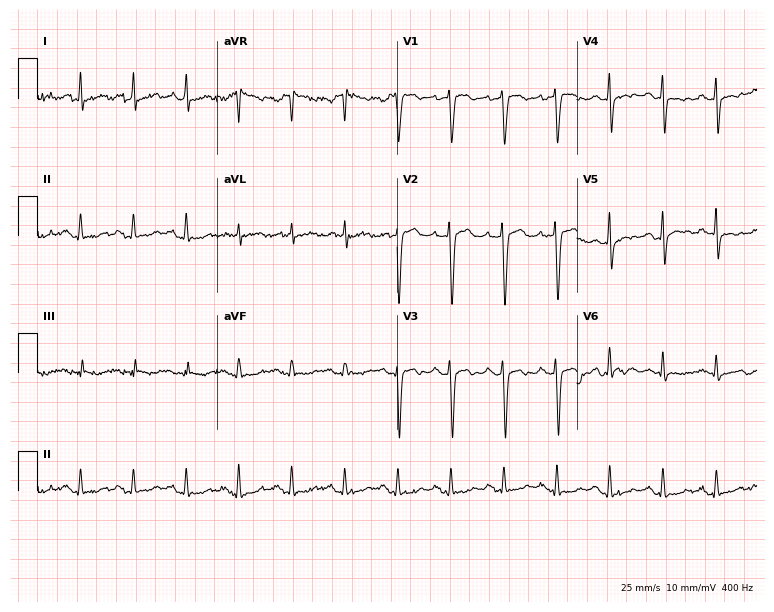
12-lead ECG (7.3-second recording at 400 Hz) from a female, 48 years old. Screened for six findings — first-degree AV block, right bundle branch block, left bundle branch block, sinus bradycardia, atrial fibrillation, sinus tachycardia — none is recorded. Other findings, if any, are not listed.